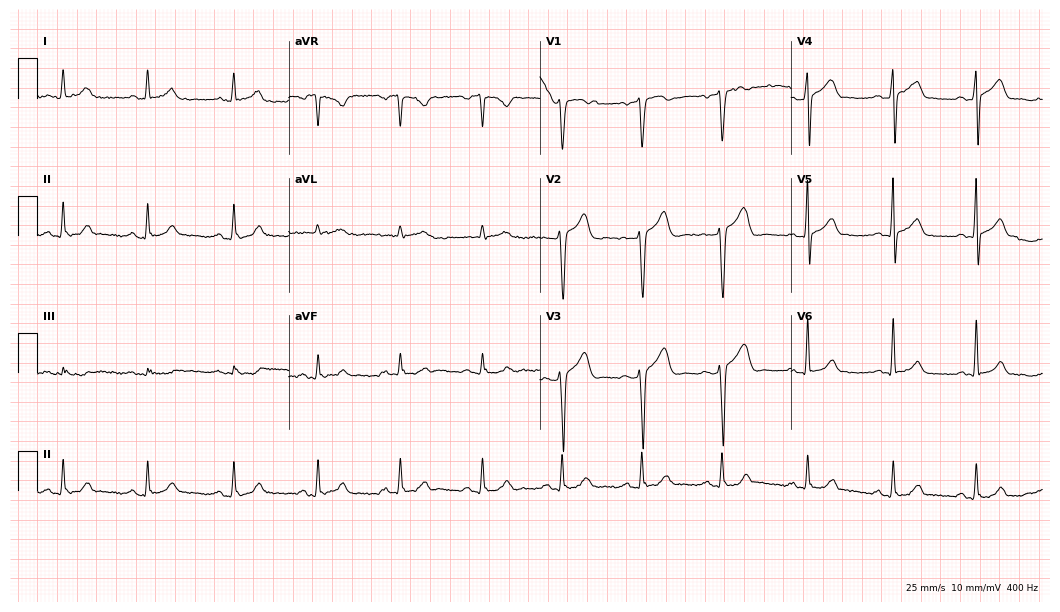
Electrocardiogram (10.2-second recording at 400 Hz), a man, 37 years old. Of the six screened findings (first-degree AV block, right bundle branch block, left bundle branch block, sinus bradycardia, atrial fibrillation, sinus tachycardia), none is recorded.